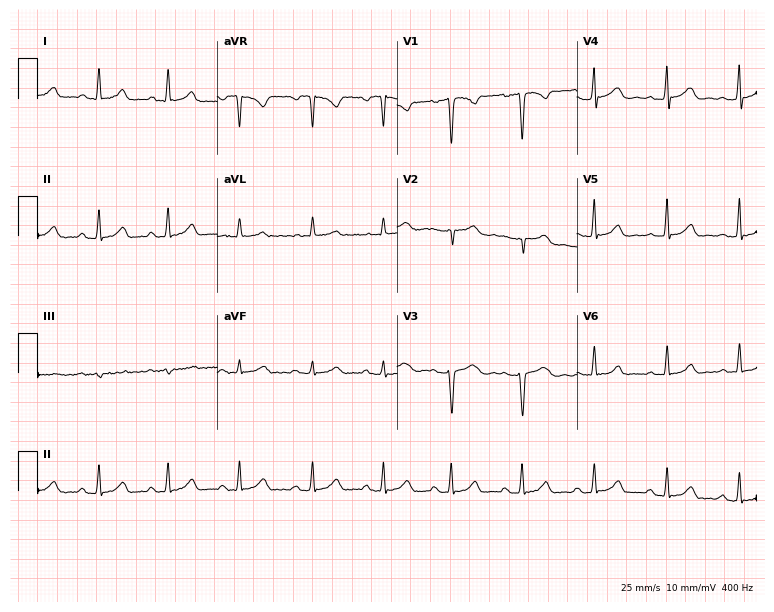
ECG — a woman, 27 years old. Screened for six findings — first-degree AV block, right bundle branch block (RBBB), left bundle branch block (LBBB), sinus bradycardia, atrial fibrillation (AF), sinus tachycardia — none is recorded. Findings outside these six are not listed.